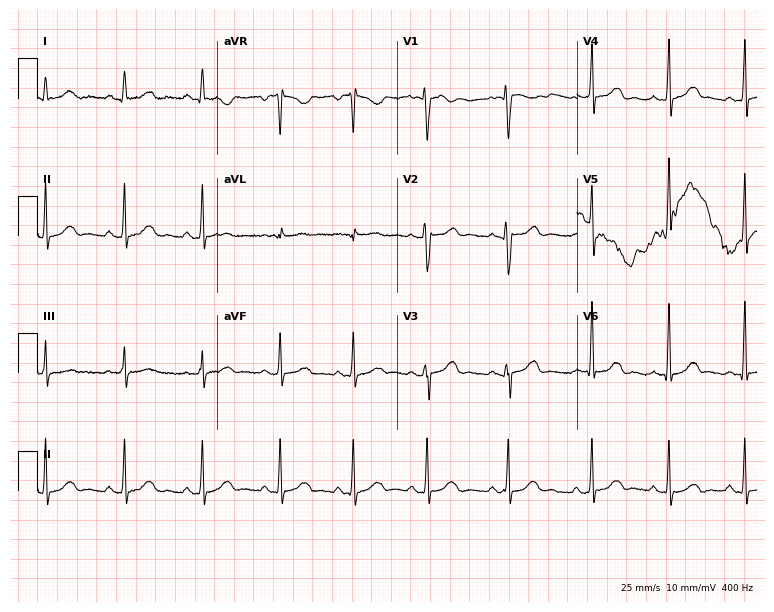
Resting 12-lead electrocardiogram (7.3-second recording at 400 Hz). Patient: a 24-year-old female. Read as a normal ECG.